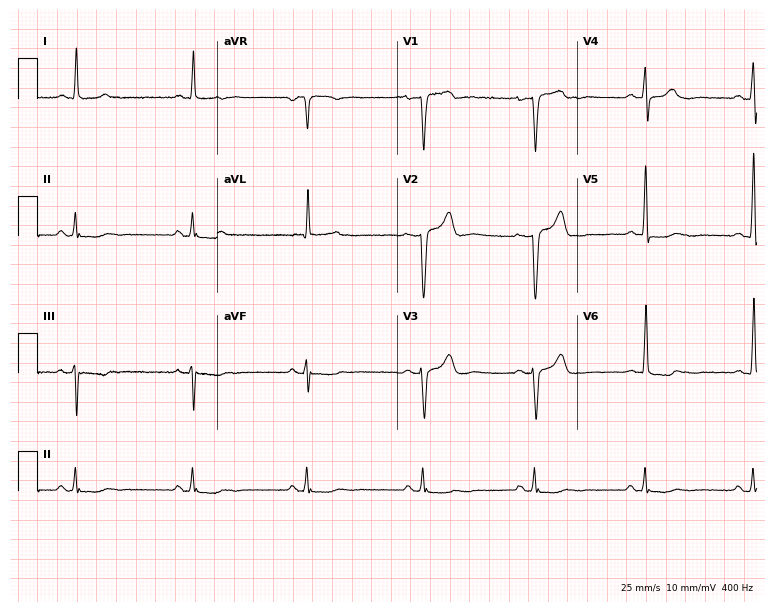
12-lead ECG from a male patient, 87 years old. Screened for six findings — first-degree AV block, right bundle branch block, left bundle branch block, sinus bradycardia, atrial fibrillation, sinus tachycardia — none is recorded. Findings outside these six are not listed.